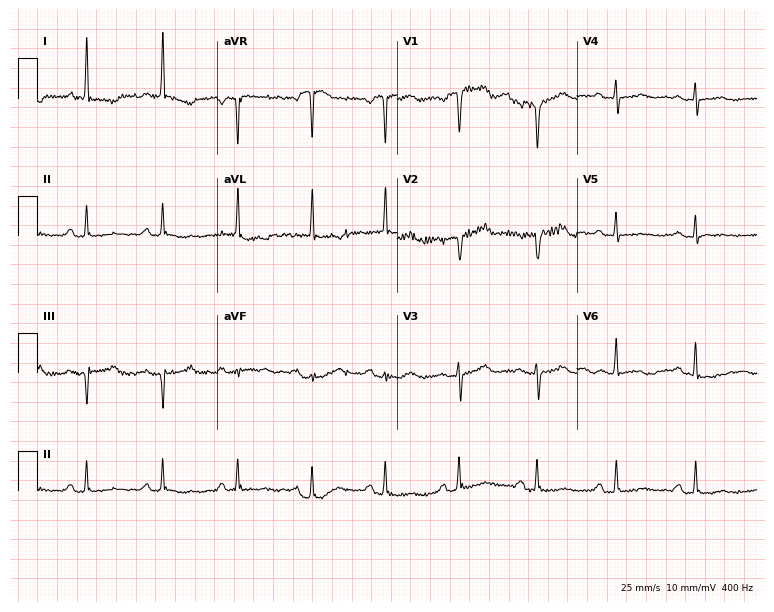
12-lead ECG (7.3-second recording at 400 Hz) from a 65-year-old female. Screened for six findings — first-degree AV block, right bundle branch block (RBBB), left bundle branch block (LBBB), sinus bradycardia, atrial fibrillation (AF), sinus tachycardia — none is recorded.